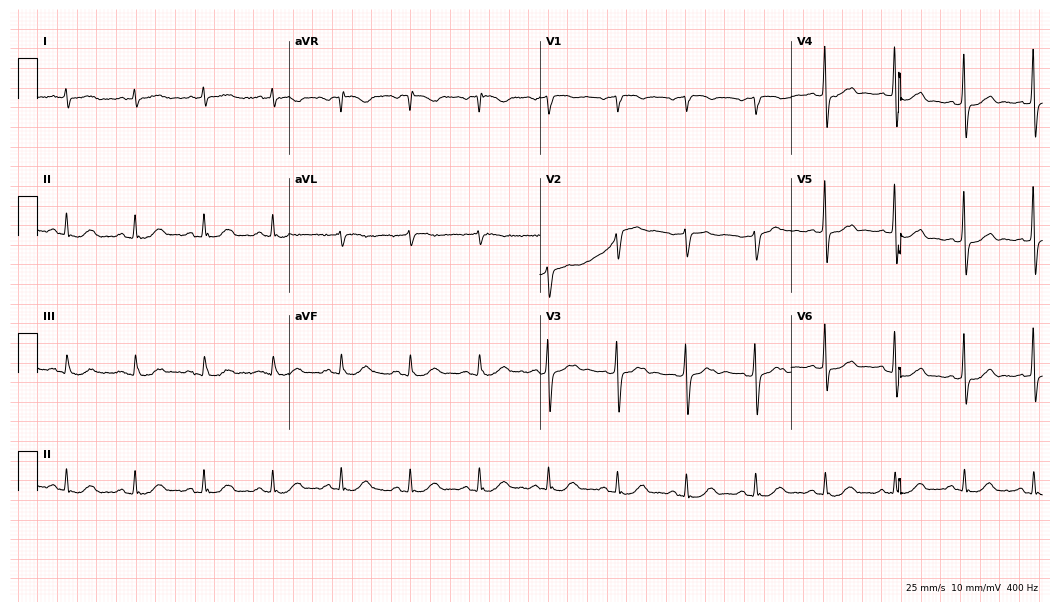
Standard 12-lead ECG recorded from an 84-year-old male (10.2-second recording at 400 Hz). None of these six findings is recorded: first-degree AV block, right bundle branch block, left bundle branch block, sinus bradycardia, atrial fibrillation, sinus tachycardia.